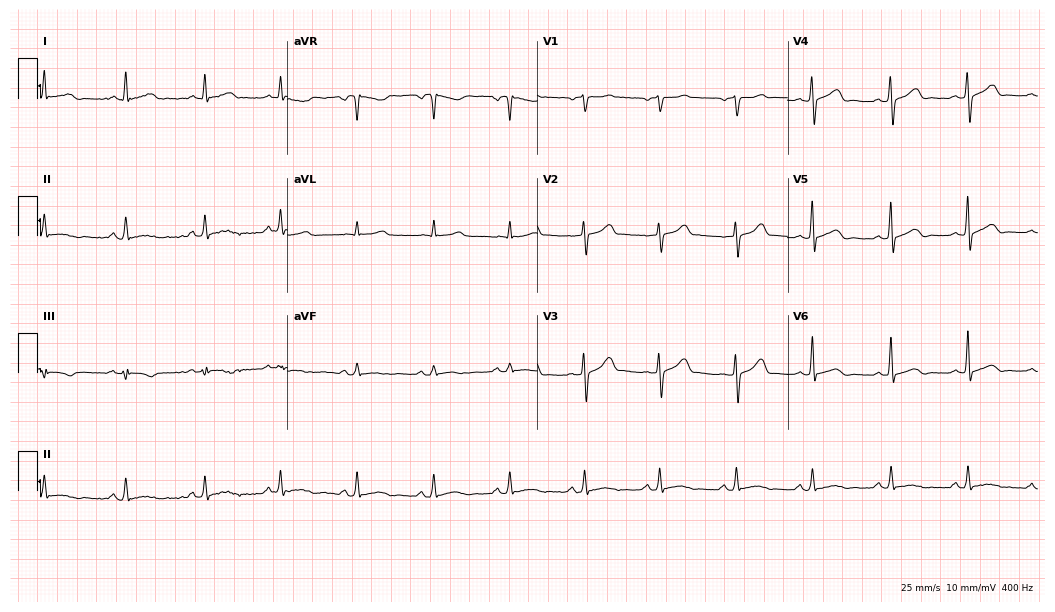
ECG — a man, 56 years old. Labelled as a normal ECG.